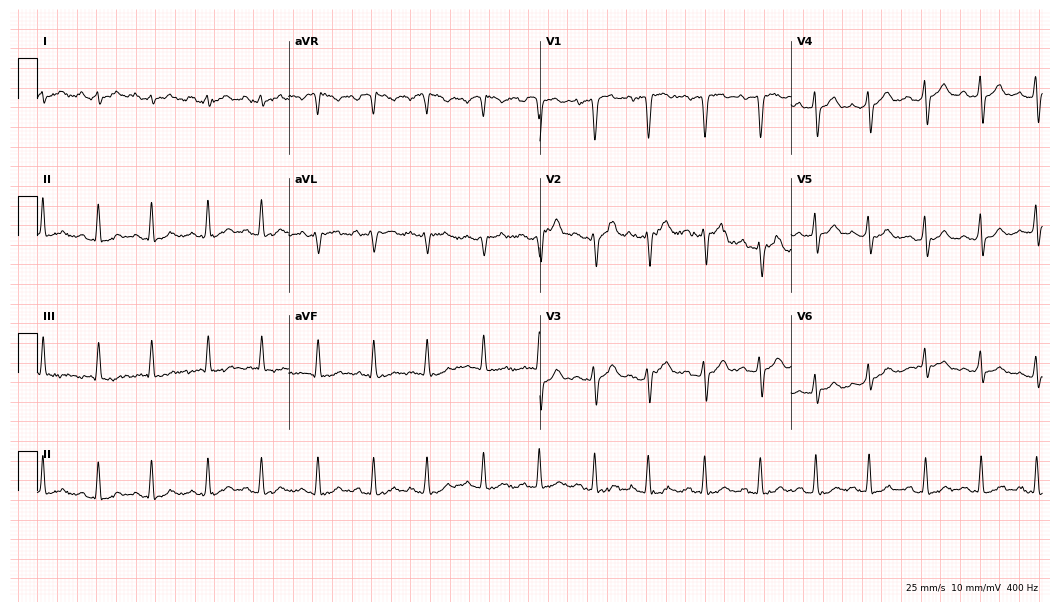
Standard 12-lead ECG recorded from a 78-year-old male patient (10.2-second recording at 400 Hz). The tracing shows sinus tachycardia (a sinus rate of 100 beats per minute or more).